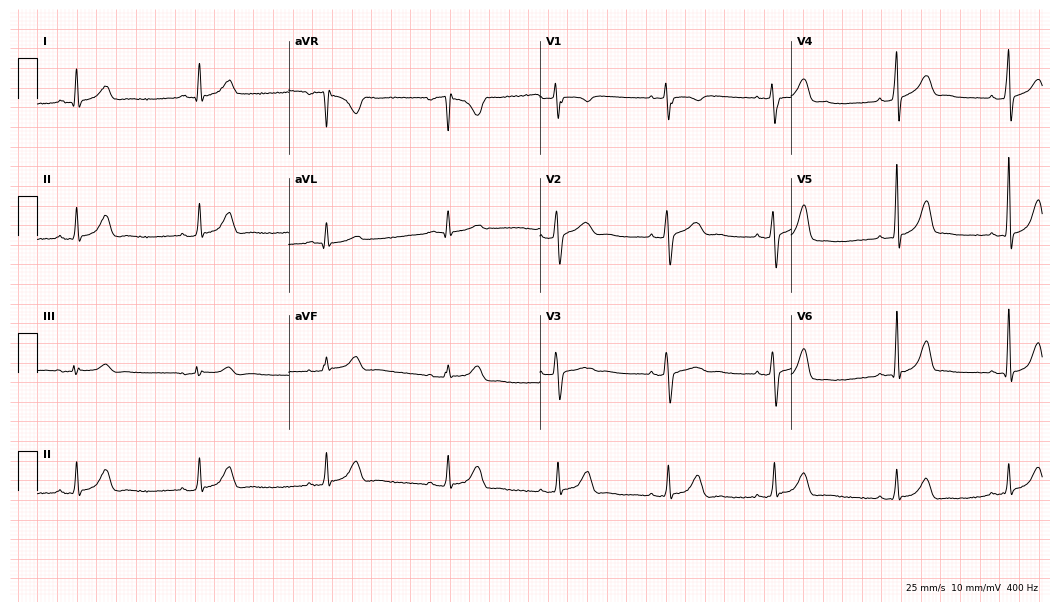
Resting 12-lead electrocardiogram. Patient: a female, 21 years old. The tracing shows sinus bradycardia (a sinus rate of 50 beats per minute or less).